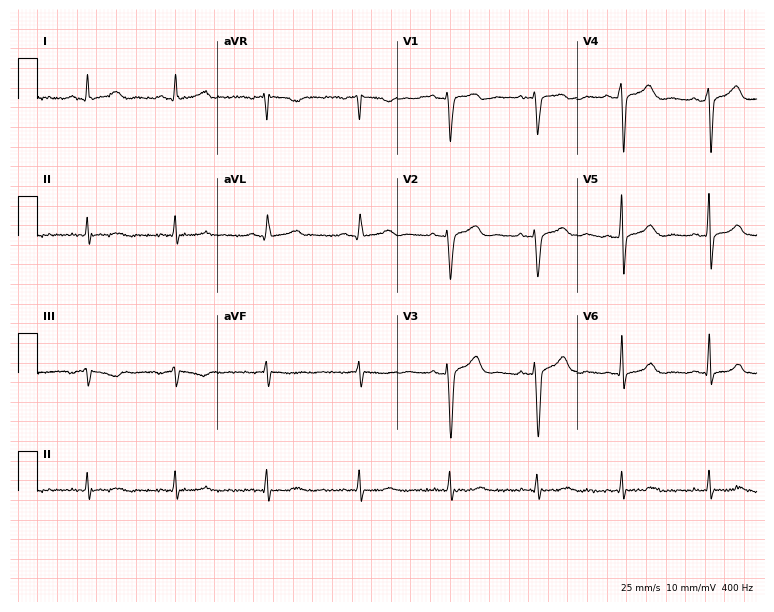
Electrocardiogram, a 52-year-old female. Of the six screened findings (first-degree AV block, right bundle branch block (RBBB), left bundle branch block (LBBB), sinus bradycardia, atrial fibrillation (AF), sinus tachycardia), none is recorded.